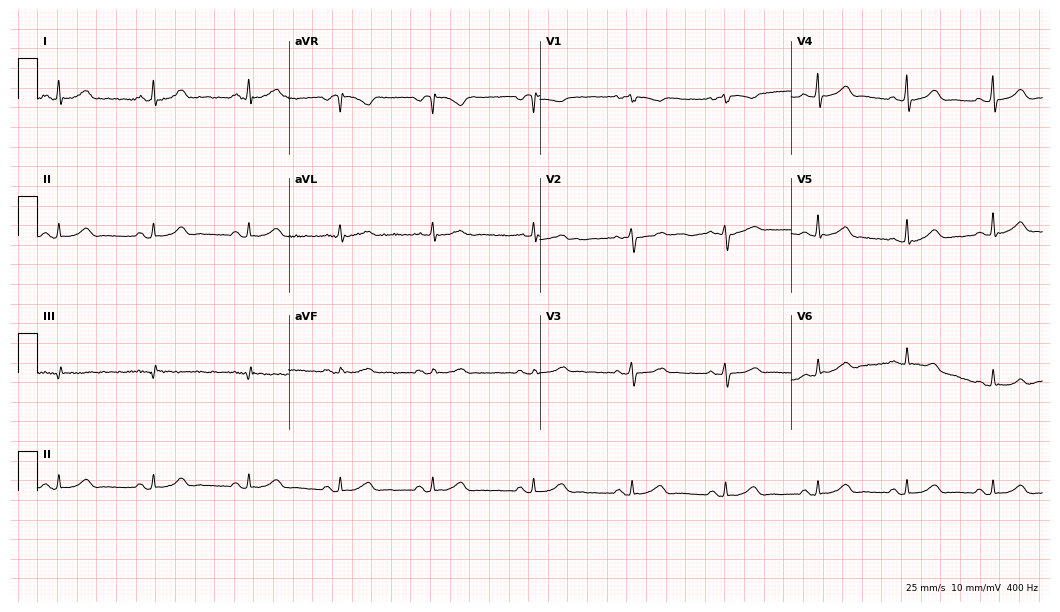
Resting 12-lead electrocardiogram. Patient: a 43-year-old female. None of these six findings is recorded: first-degree AV block, right bundle branch block, left bundle branch block, sinus bradycardia, atrial fibrillation, sinus tachycardia.